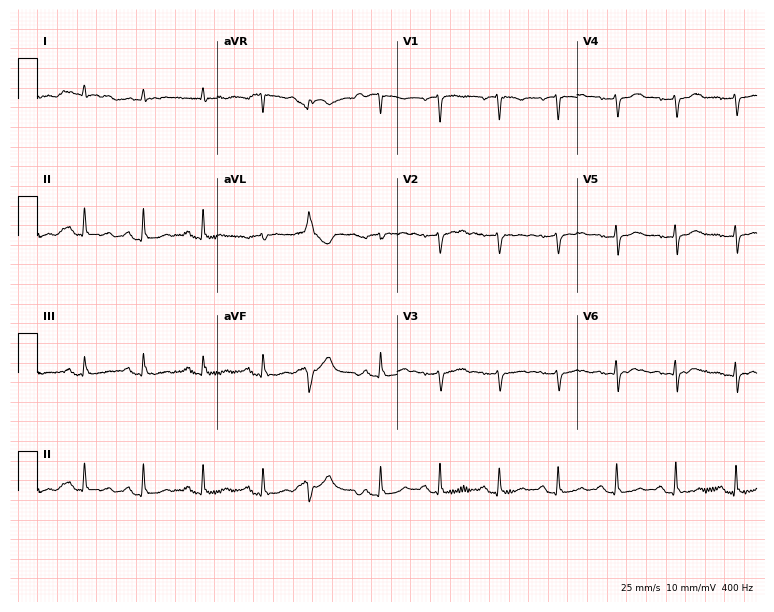
Standard 12-lead ECG recorded from a male patient, 69 years old (7.3-second recording at 400 Hz). None of these six findings is recorded: first-degree AV block, right bundle branch block, left bundle branch block, sinus bradycardia, atrial fibrillation, sinus tachycardia. Only these six findings were labelled.